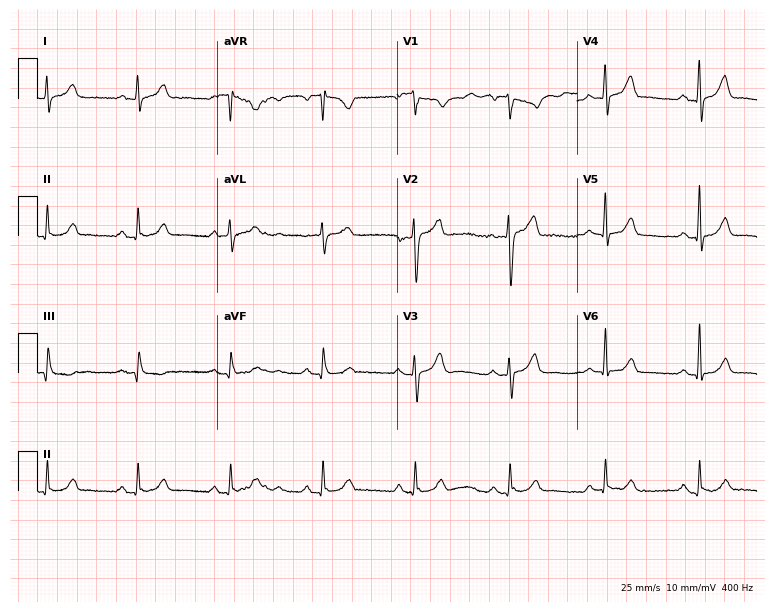
Standard 12-lead ECG recorded from a 49-year-old male (7.3-second recording at 400 Hz). Read as a normal ECG.